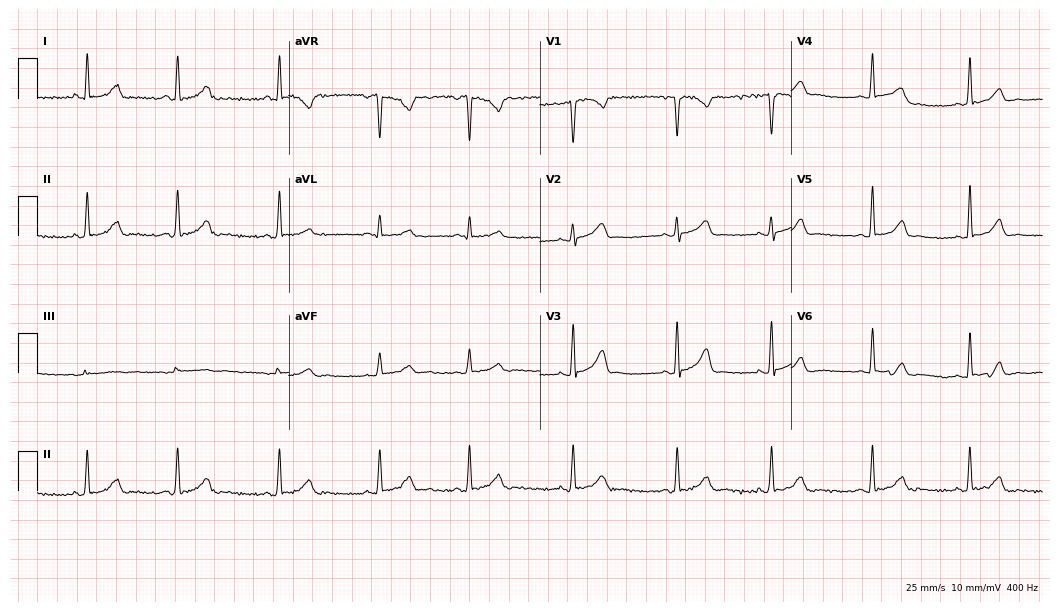
ECG — a 26-year-old woman. Screened for six findings — first-degree AV block, right bundle branch block (RBBB), left bundle branch block (LBBB), sinus bradycardia, atrial fibrillation (AF), sinus tachycardia — none is recorded. Findings outside these six are not listed.